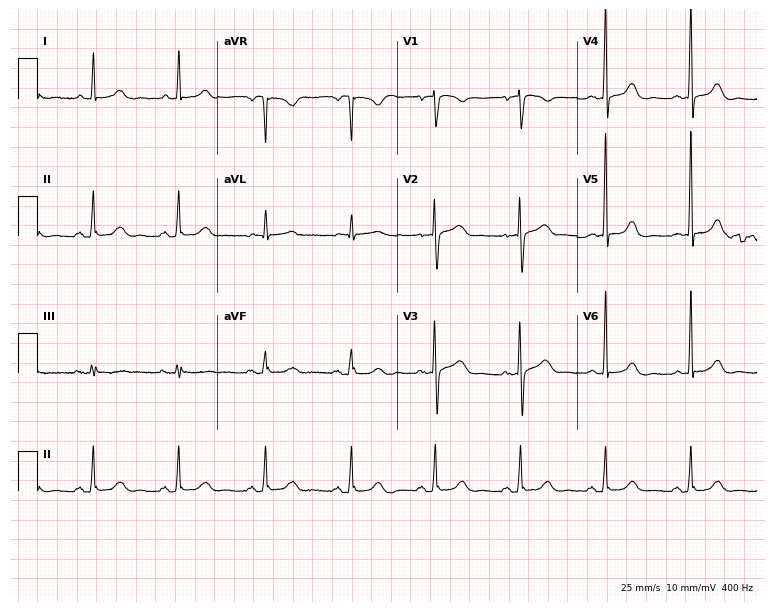
Electrocardiogram (7.3-second recording at 400 Hz), a female patient, 64 years old. Of the six screened findings (first-degree AV block, right bundle branch block, left bundle branch block, sinus bradycardia, atrial fibrillation, sinus tachycardia), none is recorded. Only these six findings were labelled.